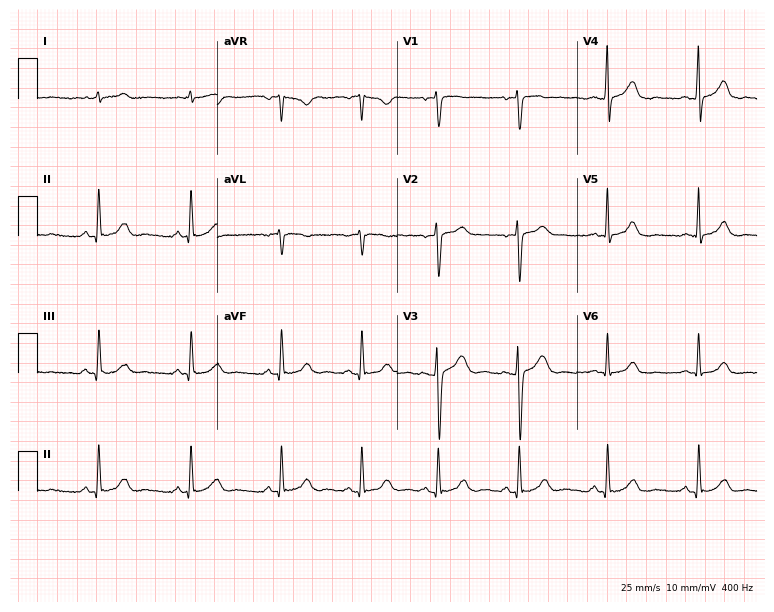
Resting 12-lead electrocardiogram. Patient: a female, 34 years old. Read as a normal ECG.